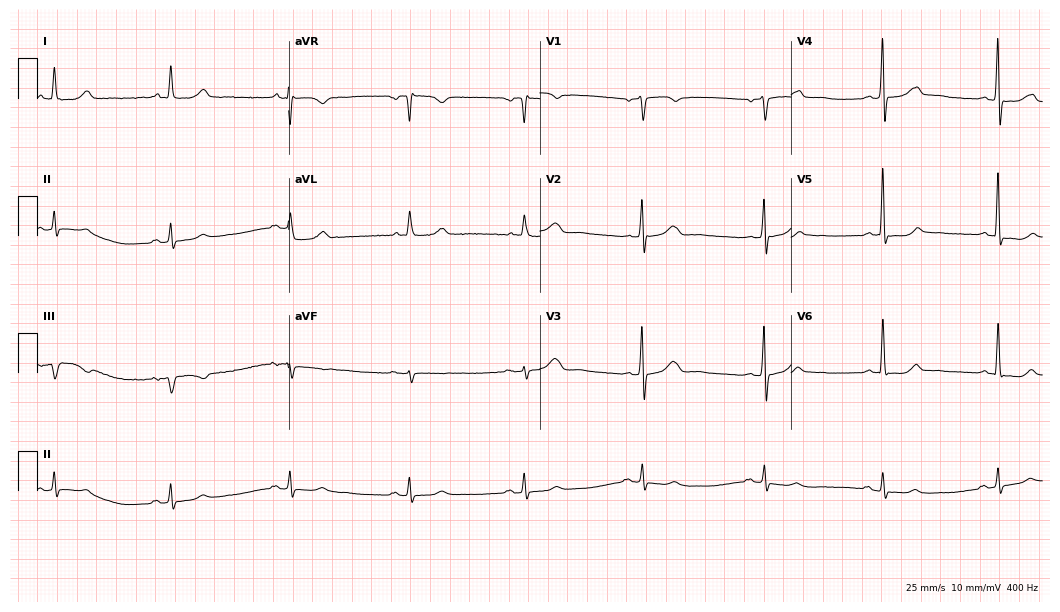
12-lead ECG from a 53-year-old female. No first-degree AV block, right bundle branch block, left bundle branch block, sinus bradycardia, atrial fibrillation or sinus tachycardia recorded for this tracing. Only these six findings were labelled.